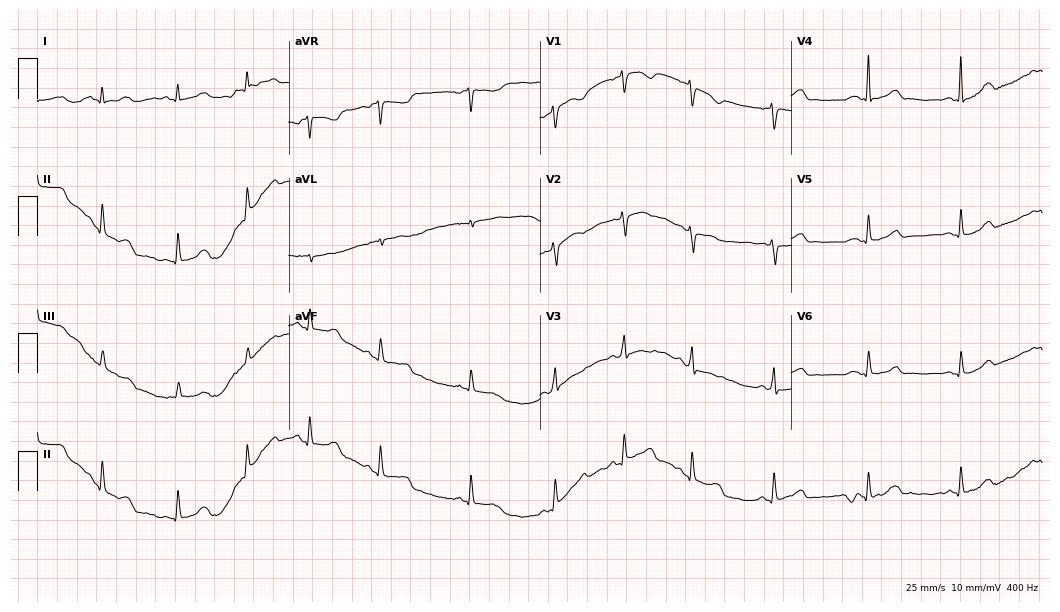
Resting 12-lead electrocardiogram (10.2-second recording at 400 Hz). Patient: a 27-year-old female. Read as a normal ECG.